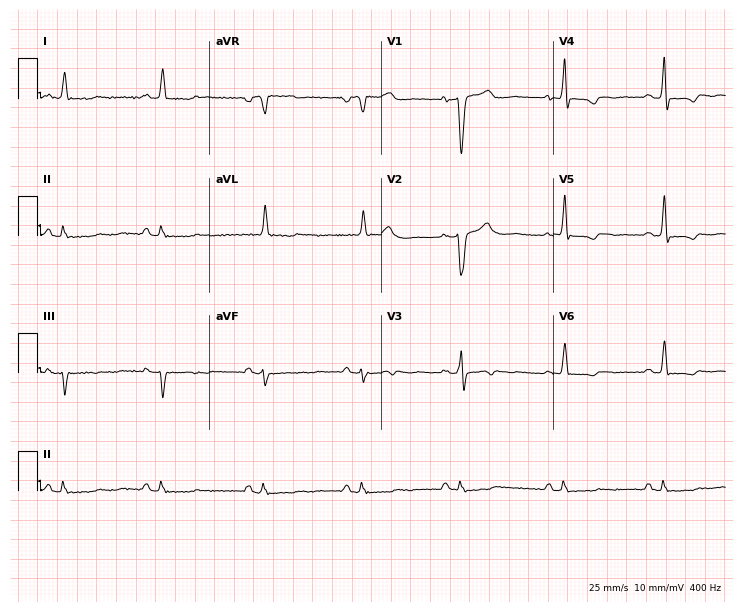
Standard 12-lead ECG recorded from a 68-year-old woman (7-second recording at 400 Hz). None of these six findings is recorded: first-degree AV block, right bundle branch block (RBBB), left bundle branch block (LBBB), sinus bradycardia, atrial fibrillation (AF), sinus tachycardia. Findings outside these six are not listed.